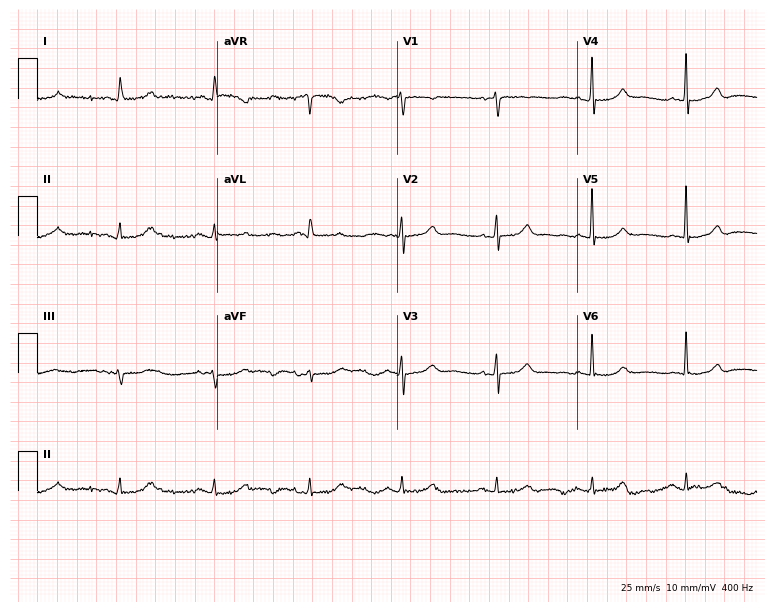
Resting 12-lead electrocardiogram (7.3-second recording at 400 Hz). Patient: an 83-year-old woman. Read as a normal ECG.